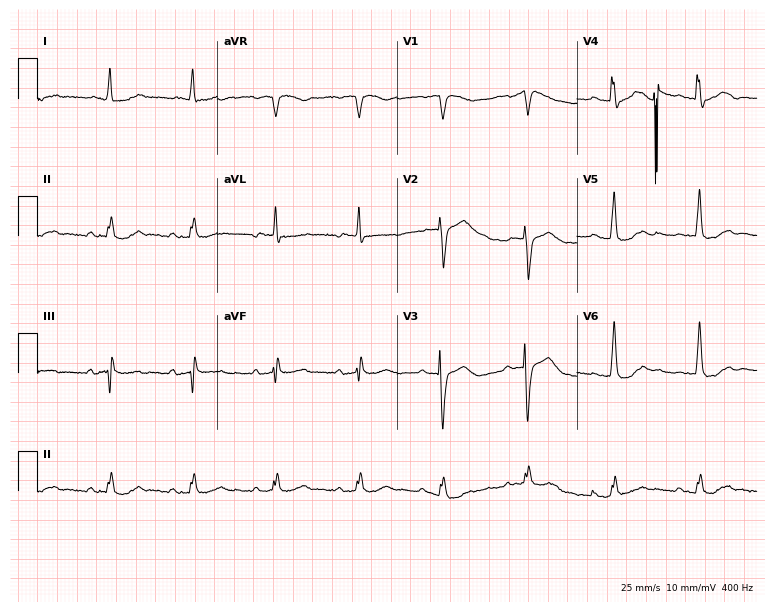
Standard 12-lead ECG recorded from a female, 82 years old (7.3-second recording at 400 Hz). Read as a normal ECG.